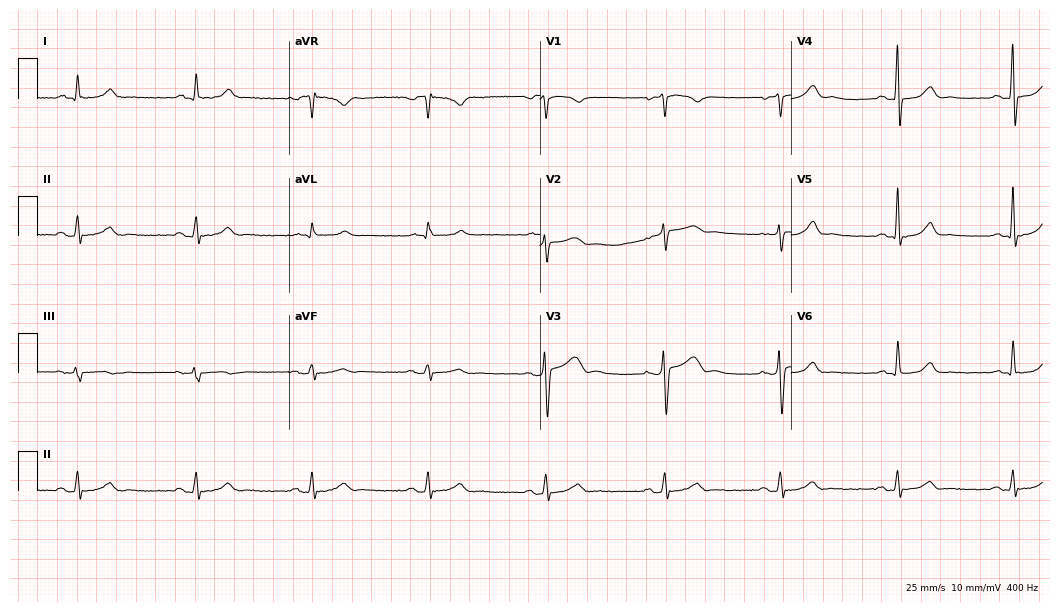
Resting 12-lead electrocardiogram. Patient: a 40-year-old man. Read as a normal ECG.